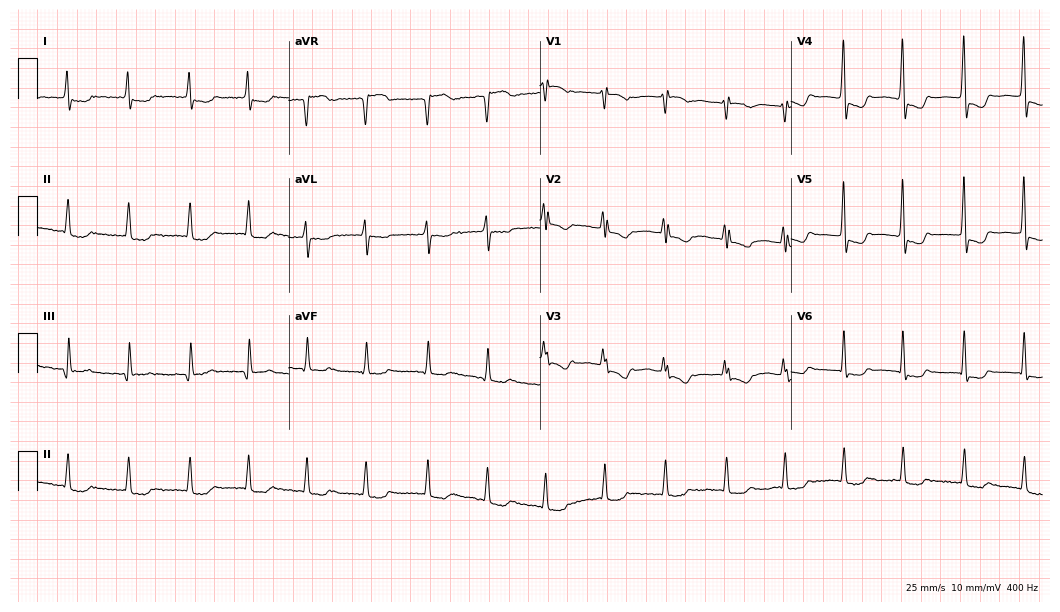
Electrocardiogram, a 60-year-old female patient. Interpretation includes atrial fibrillation.